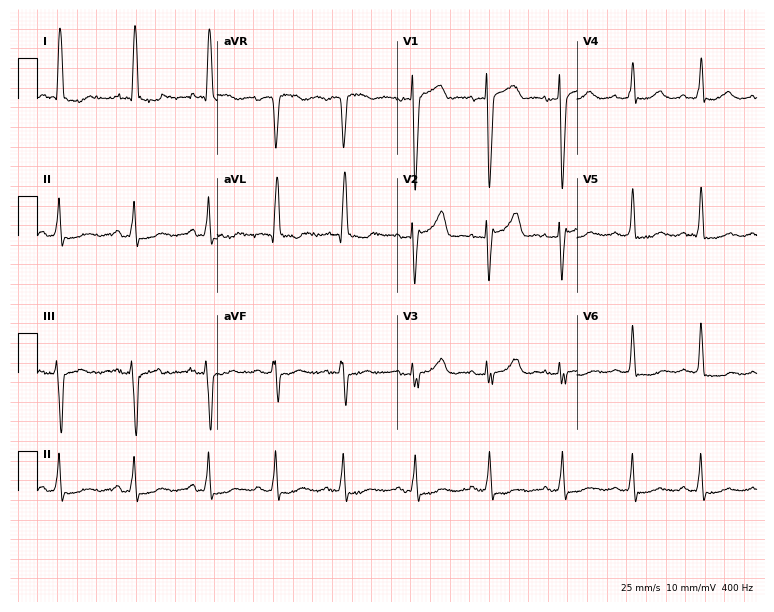
Standard 12-lead ECG recorded from a 77-year-old man. None of these six findings is recorded: first-degree AV block, right bundle branch block, left bundle branch block, sinus bradycardia, atrial fibrillation, sinus tachycardia.